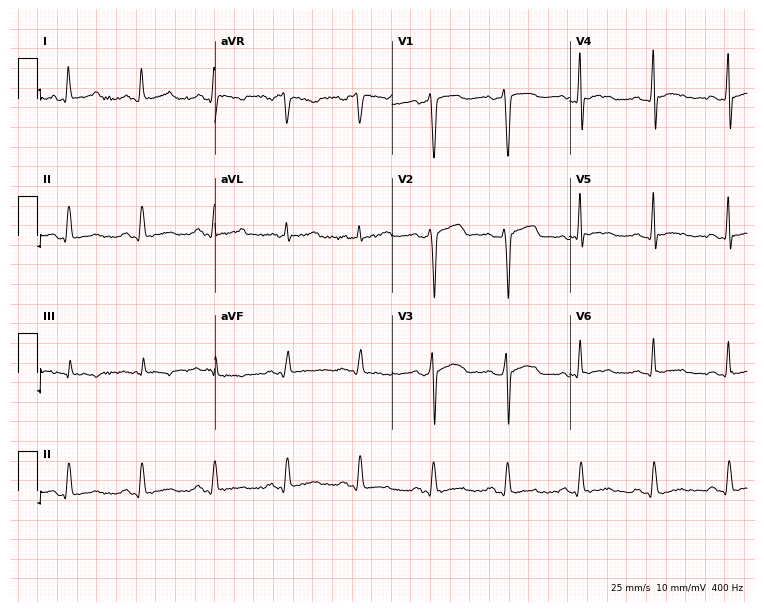
ECG (7.2-second recording at 400 Hz) — a female, 41 years old. Screened for six findings — first-degree AV block, right bundle branch block, left bundle branch block, sinus bradycardia, atrial fibrillation, sinus tachycardia — none is recorded.